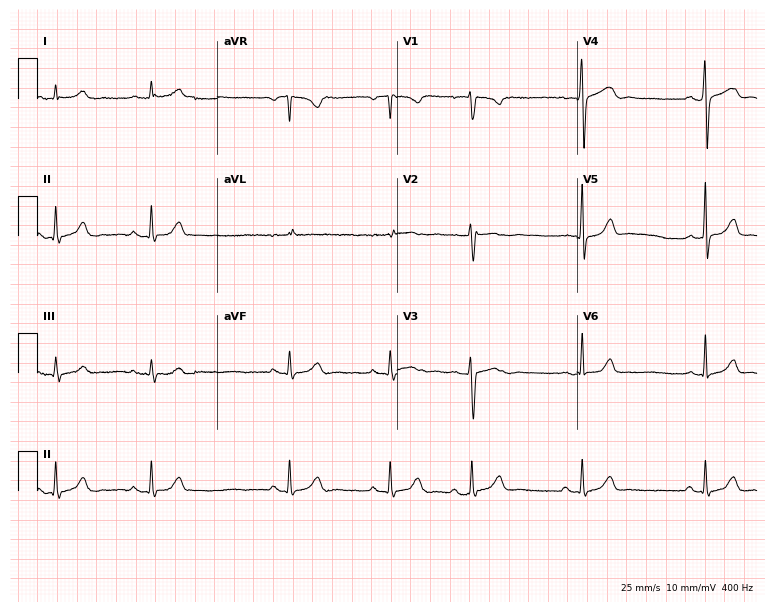
Electrocardiogram (7.3-second recording at 400 Hz), a 30-year-old female patient. Overall reading on record: normal ECG.